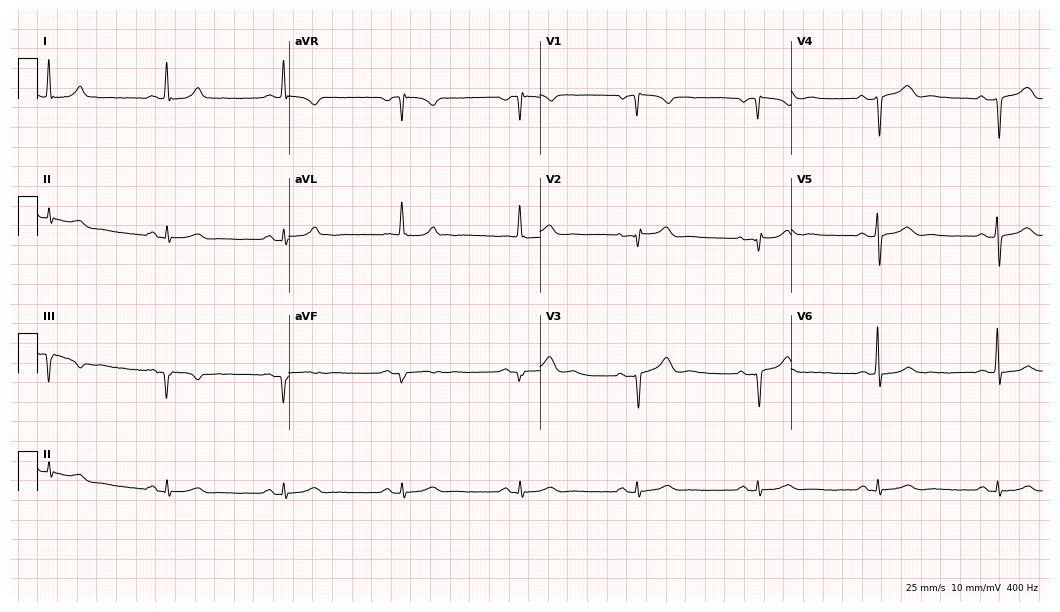
Electrocardiogram, a 64-year-old male. Interpretation includes sinus bradycardia (a sinus rate of 50 beats per minute or less).